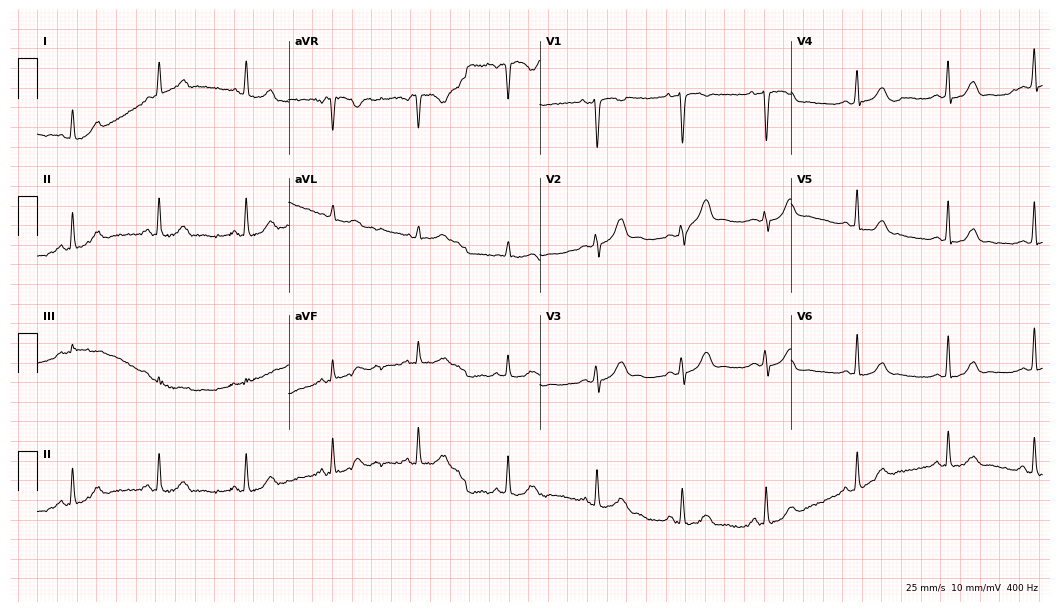
12-lead ECG from a woman, 25 years old (10.2-second recording at 400 Hz). No first-degree AV block, right bundle branch block, left bundle branch block, sinus bradycardia, atrial fibrillation or sinus tachycardia recorded for this tracing.